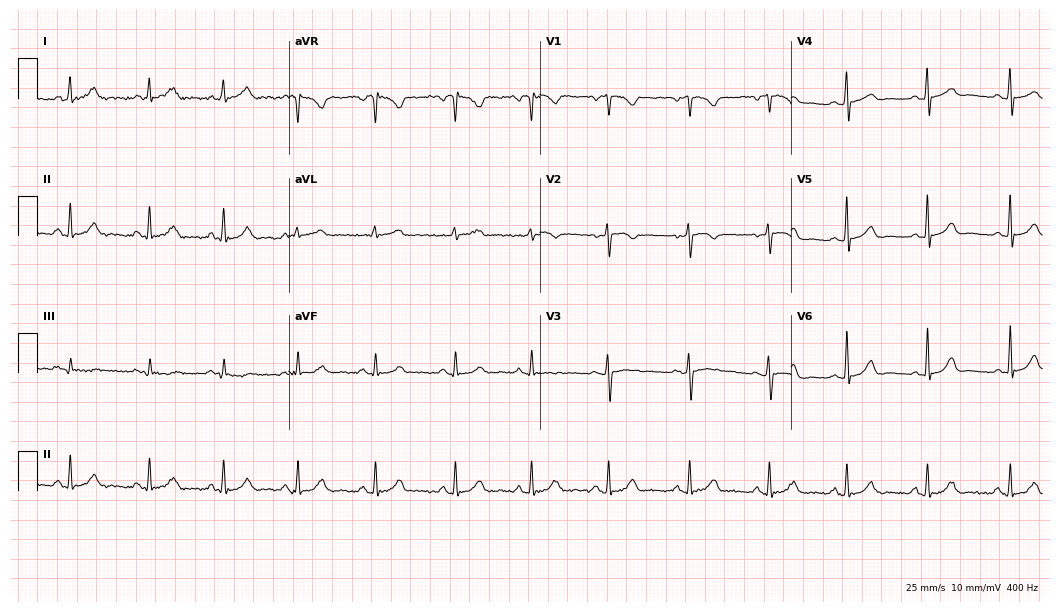
ECG — a female, 34 years old. Labelled as a normal ECG.